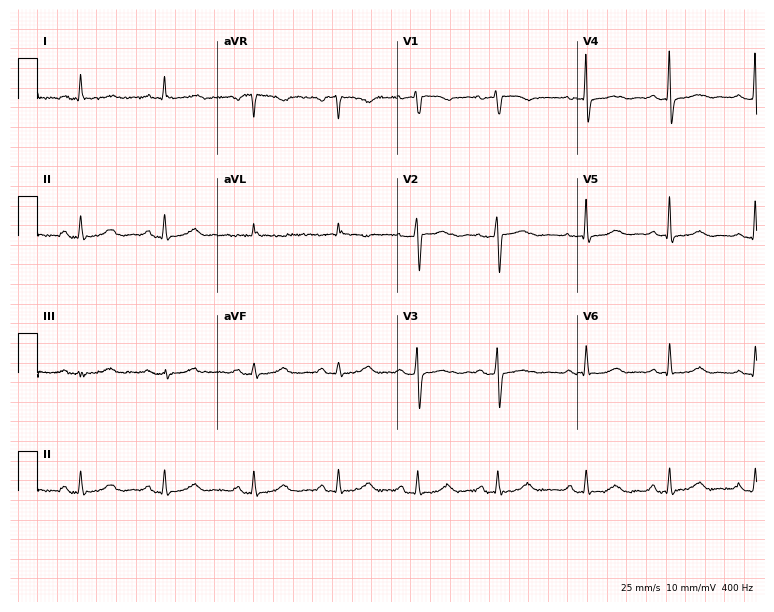
Resting 12-lead electrocardiogram. Patient: a woman, 62 years old. Read as a normal ECG.